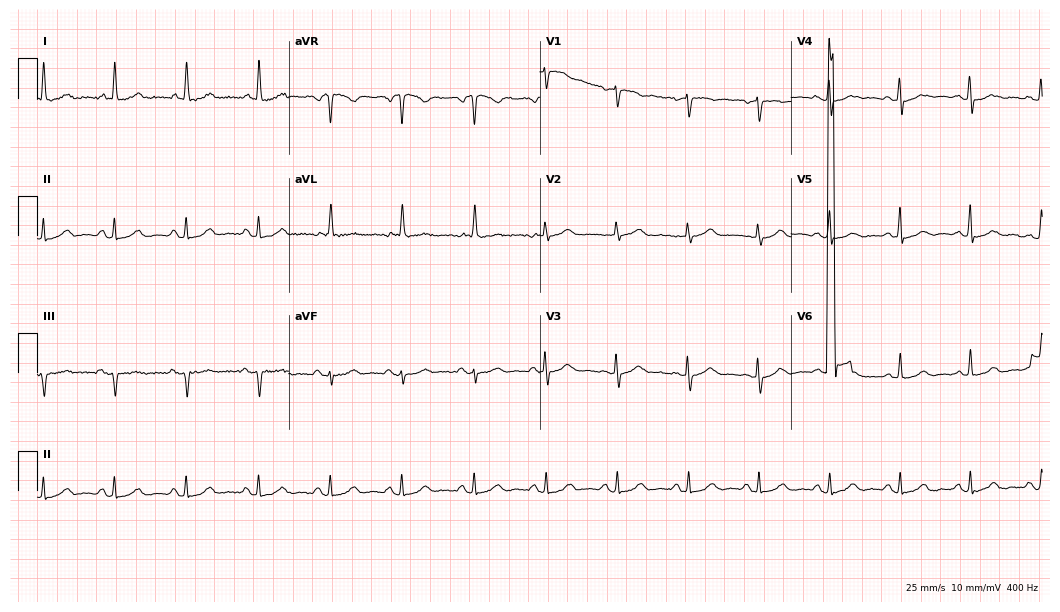
Resting 12-lead electrocardiogram (10.2-second recording at 400 Hz). Patient: a woman, 64 years old. Read as a normal ECG.